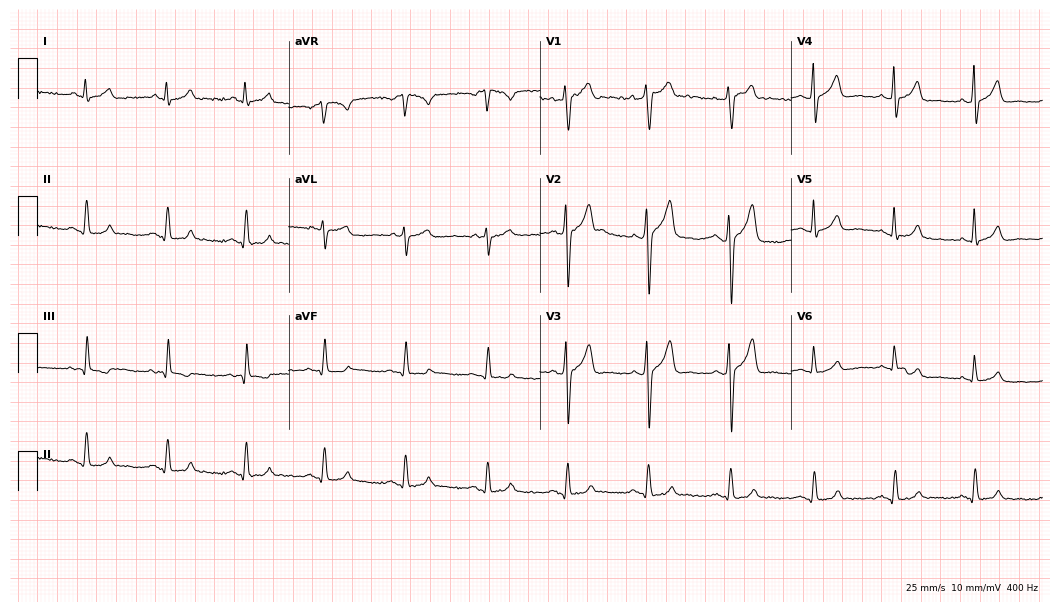
Electrocardiogram, a male patient, 31 years old. Overall reading on record: normal ECG.